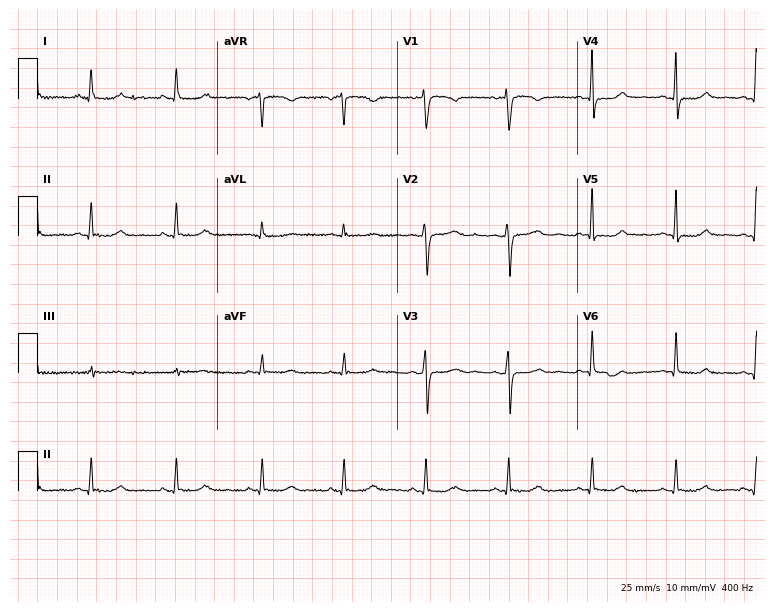
Standard 12-lead ECG recorded from a female patient, 49 years old (7.3-second recording at 400 Hz). None of these six findings is recorded: first-degree AV block, right bundle branch block, left bundle branch block, sinus bradycardia, atrial fibrillation, sinus tachycardia. Other findings, if any, are not listed.